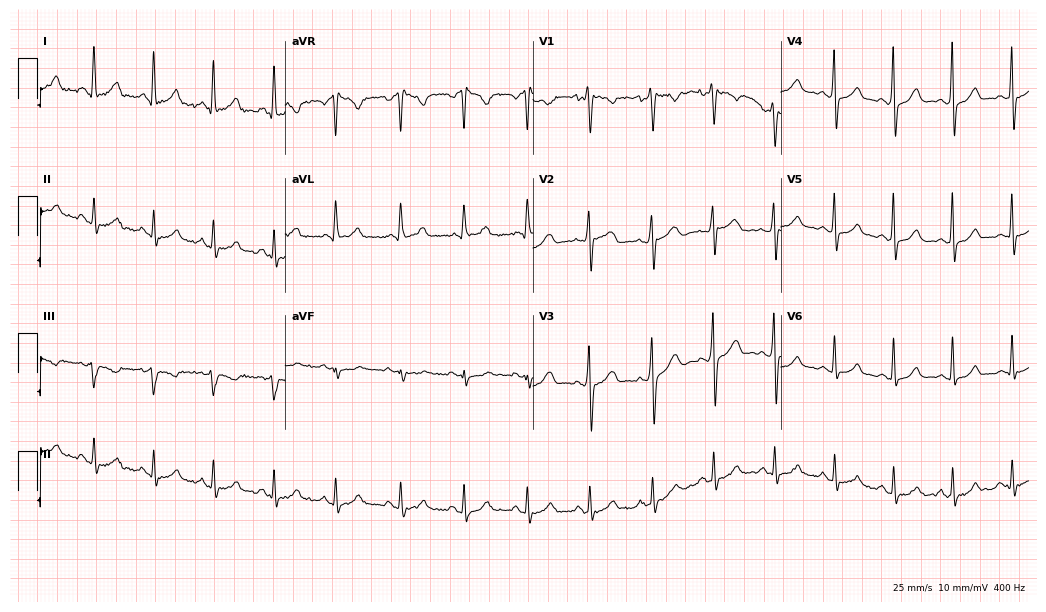
12-lead ECG (10.1-second recording at 400 Hz) from a female patient, 34 years old. Labelled as a normal ECG.